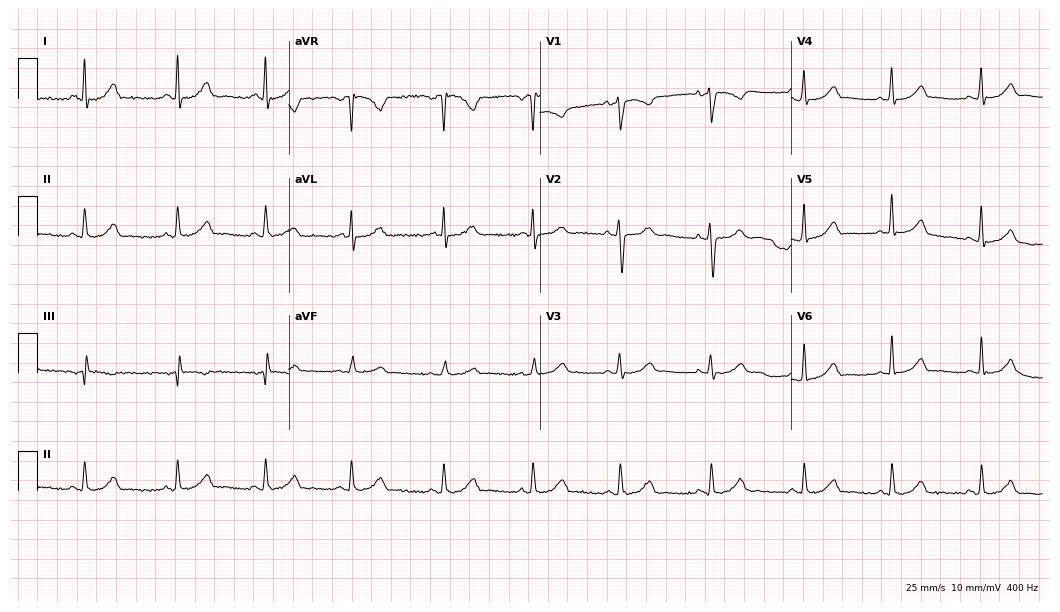
Standard 12-lead ECG recorded from a male patient, 32 years old (10.2-second recording at 400 Hz). None of these six findings is recorded: first-degree AV block, right bundle branch block (RBBB), left bundle branch block (LBBB), sinus bradycardia, atrial fibrillation (AF), sinus tachycardia. Only these six findings were labelled.